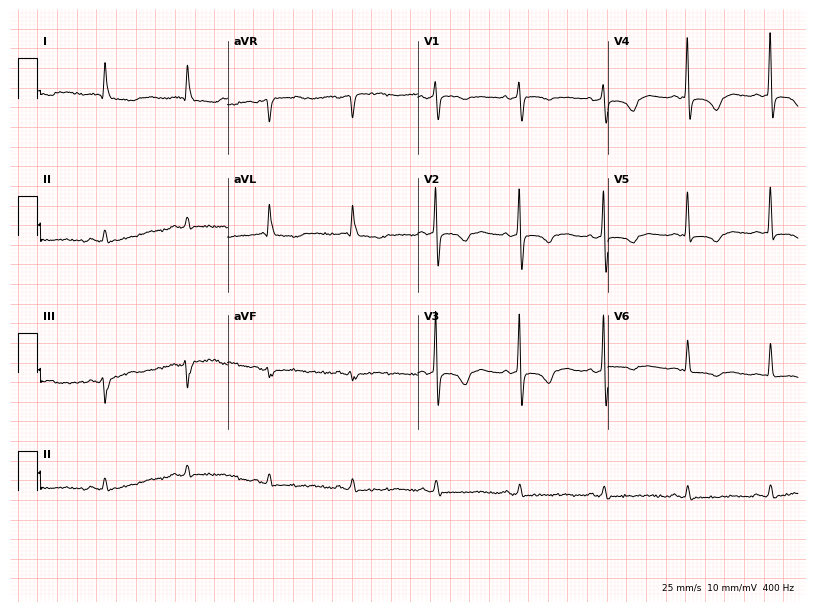
ECG (7.8-second recording at 400 Hz) — a 70-year-old female. Screened for six findings — first-degree AV block, right bundle branch block, left bundle branch block, sinus bradycardia, atrial fibrillation, sinus tachycardia — none is recorded.